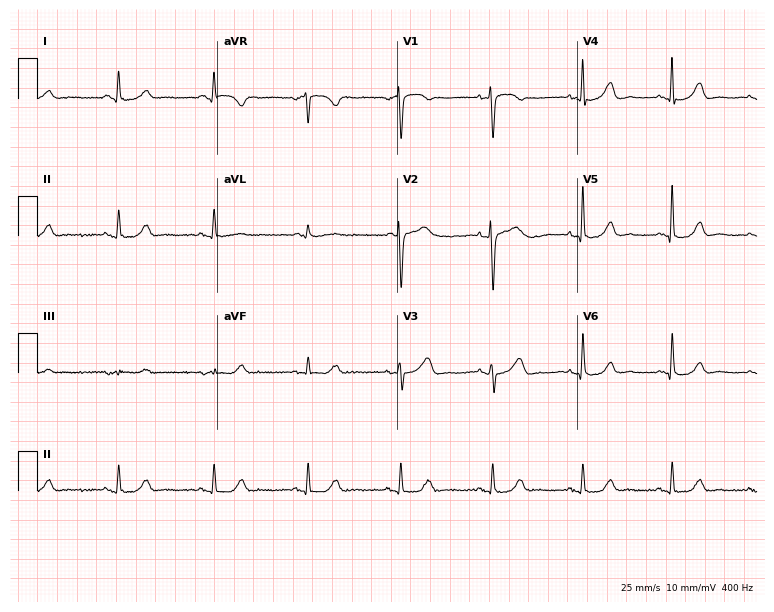
Resting 12-lead electrocardiogram. Patient: a female, 68 years old. Read as a normal ECG.